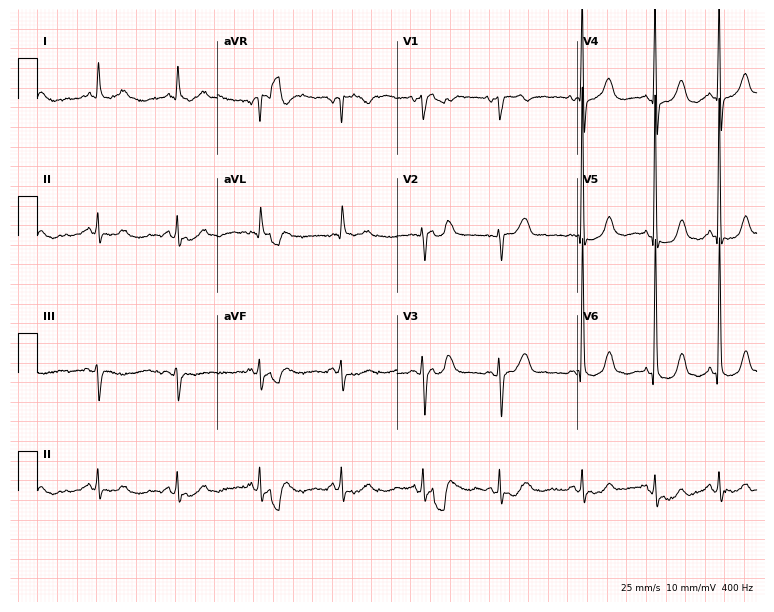
ECG (7.3-second recording at 400 Hz) — a 74-year-old female patient. Screened for six findings — first-degree AV block, right bundle branch block (RBBB), left bundle branch block (LBBB), sinus bradycardia, atrial fibrillation (AF), sinus tachycardia — none is recorded. Only these six findings were labelled.